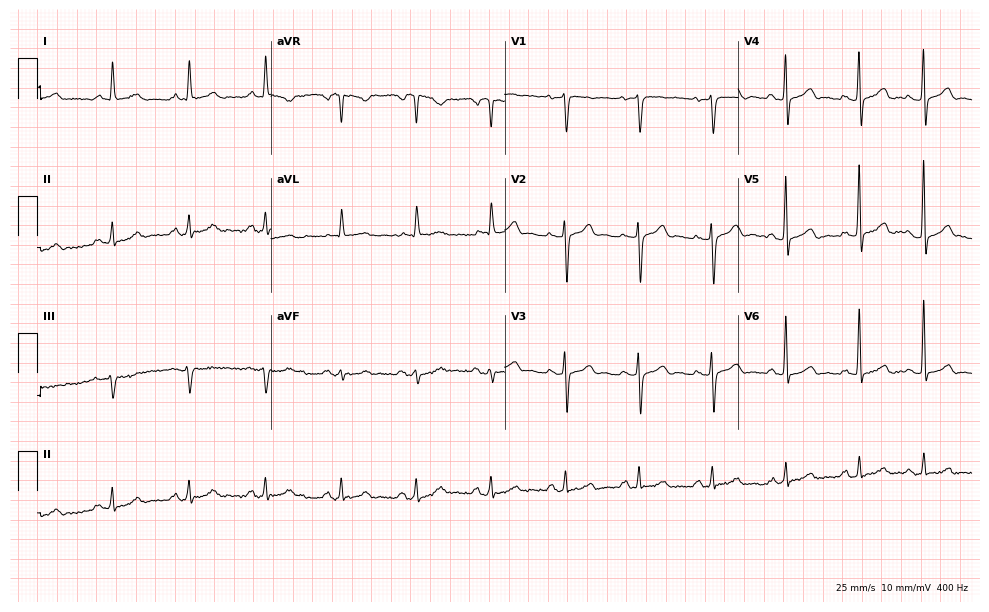
ECG (9.5-second recording at 400 Hz) — a male, 80 years old. Labelled as a normal ECG.